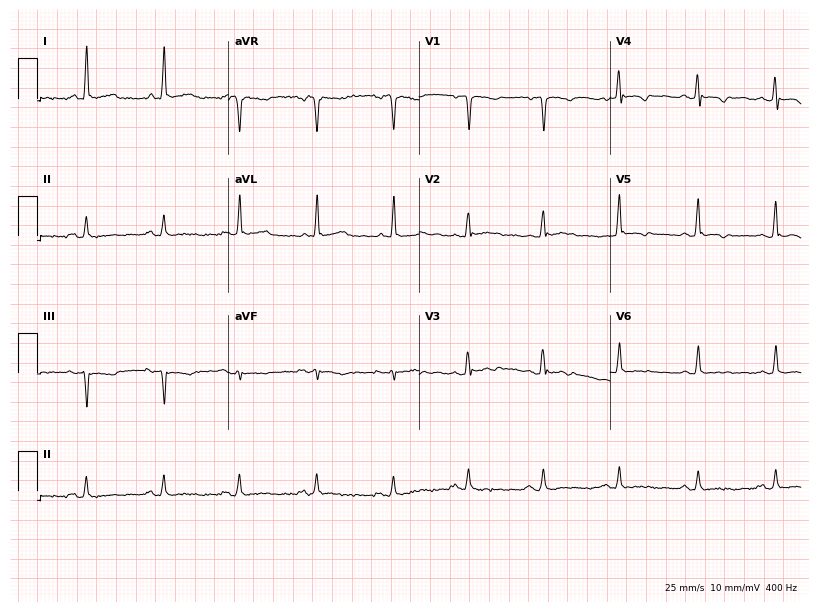
Standard 12-lead ECG recorded from a 68-year-old woman (7.8-second recording at 400 Hz). None of these six findings is recorded: first-degree AV block, right bundle branch block (RBBB), left bundle branch block (LBBB), sinus bradycardia, atrial fibrillation (AF), sinus tachycardia. Findings outside these six are not listed.